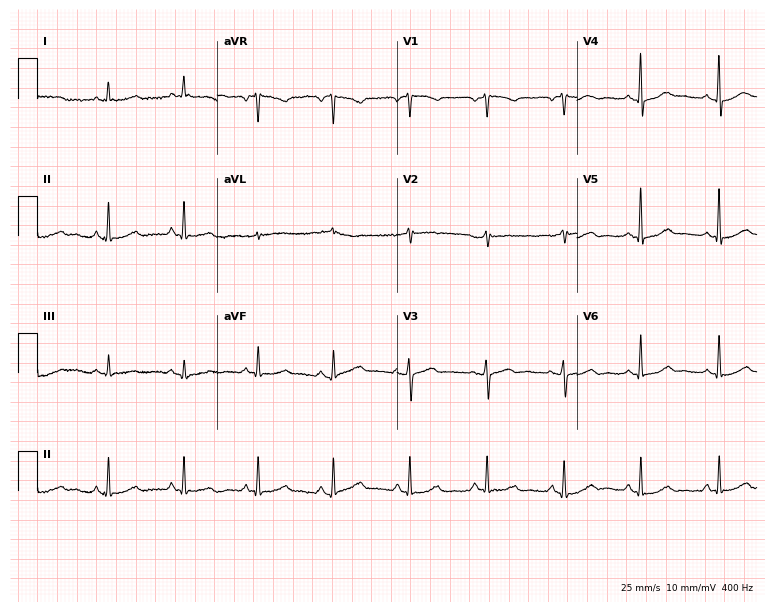
12-lead ECG from a female, 55 years old. Labelled as a normal ECG.